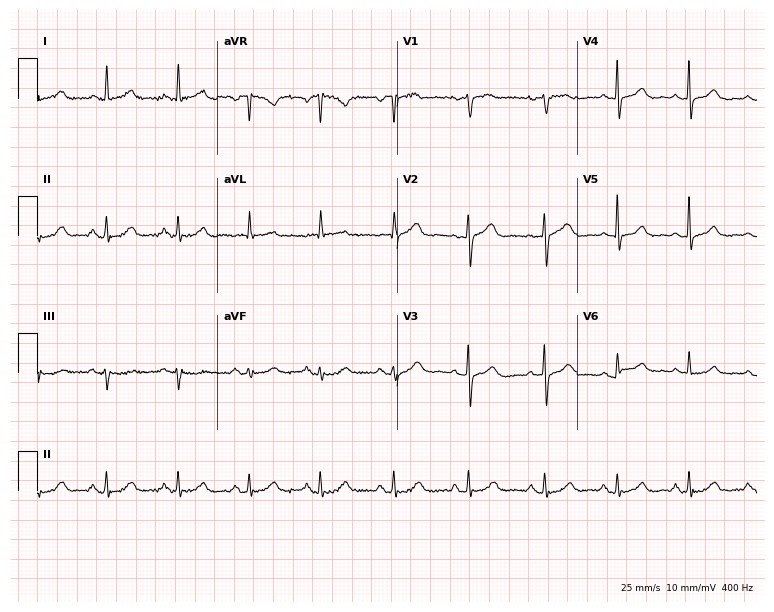
Electrocardiogram (7.3-second recording at 400 Hz), a 65-year-old woman. Overall reading on record: normal ECG.